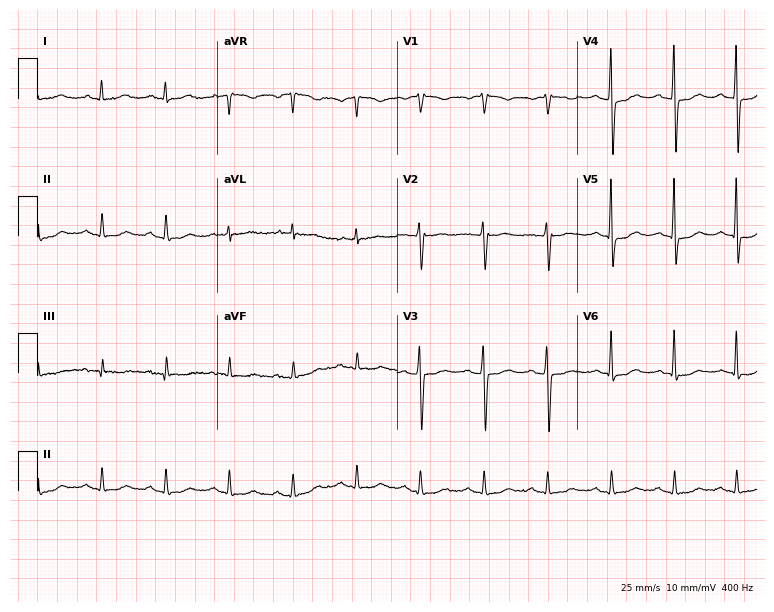
ECG (7.3-second recording at 400 Hz) — a female, 66 years old. Screened for six findings — first-degree AV block, right bundle branch block, left bundle branch block, sinus bradycardia, atrial fibrillation, sinus tachycardia — none is recorded. Findings outside these six are not listed.